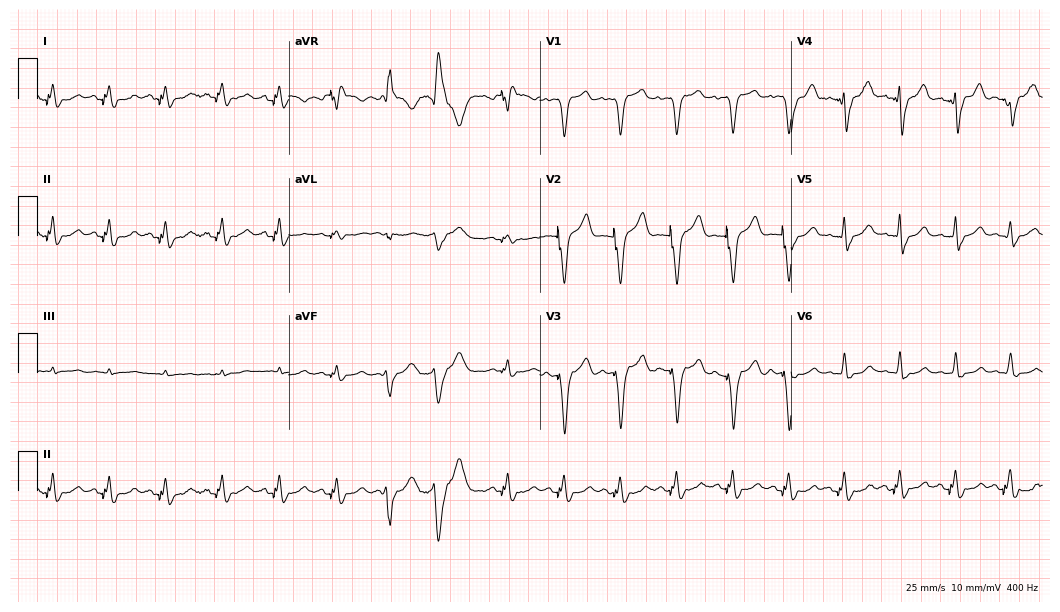
12-lead ECG from a female patient, 81 years old. No first-degree AV block, right bundle branch block, left bundle branch block, sinus bradycardia, atrial fibrillation or sinus tachycardia recorded for this tracing. Only these six findings were labelled.